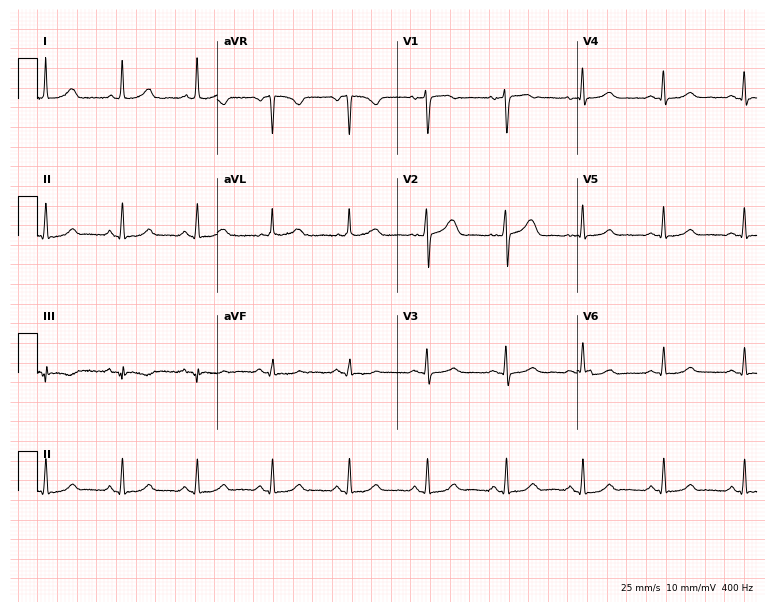
12-lead ECG from a female patient, 43 years old. Labelled as a normal ECG.